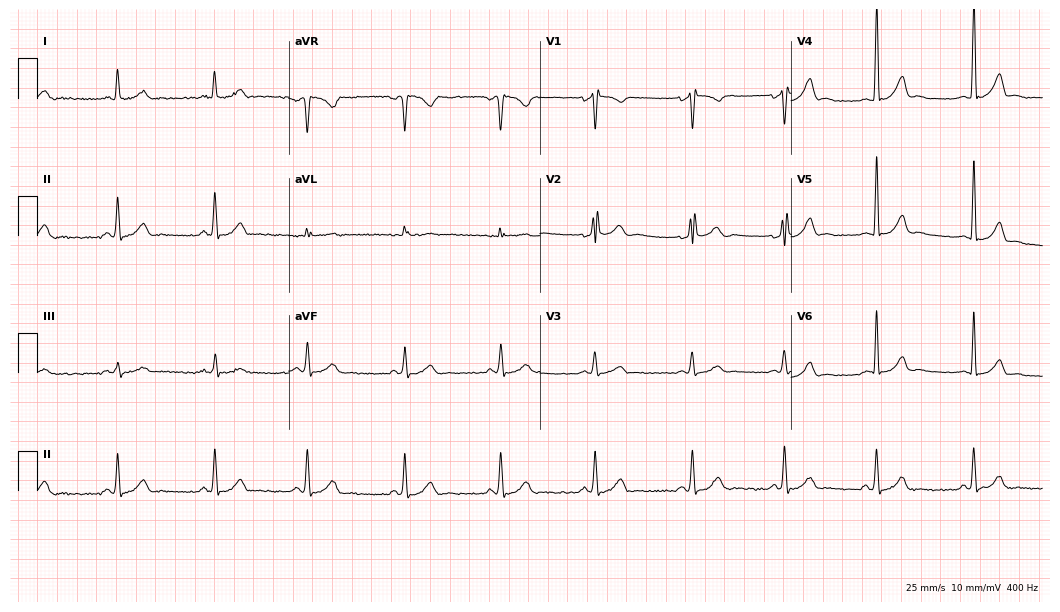
12-lead ECG from a male, 28 years old. Labelled as a normal ECG.